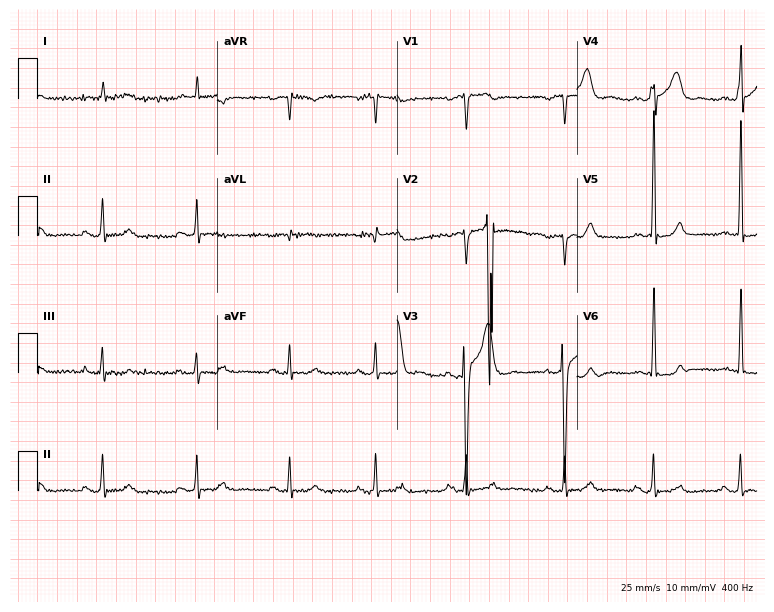
Resting 12-lead electrocardiogram (7.3-second recording at 400 Hz). Patient: a 65-year-old male. Read as a normal ECG.